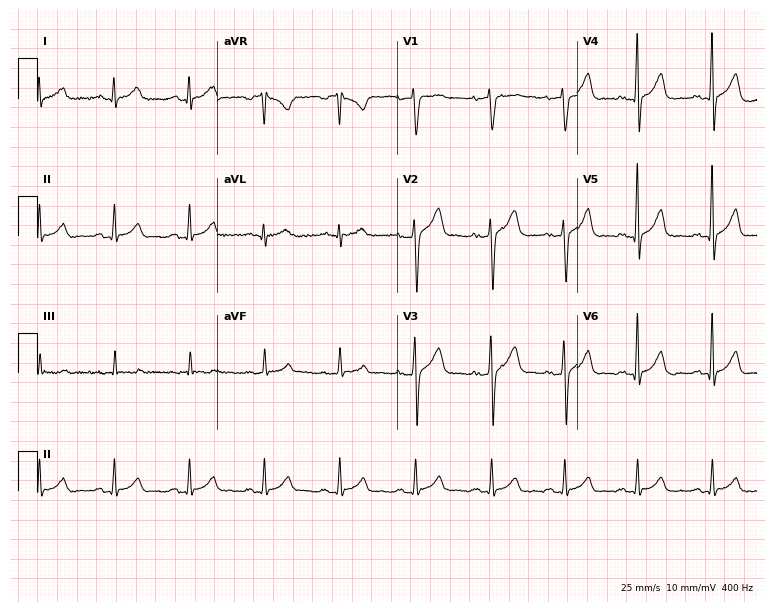
Resting 12-lead electrocardiogram. Patient: a male, 31 years old. Read as a normal ECG.